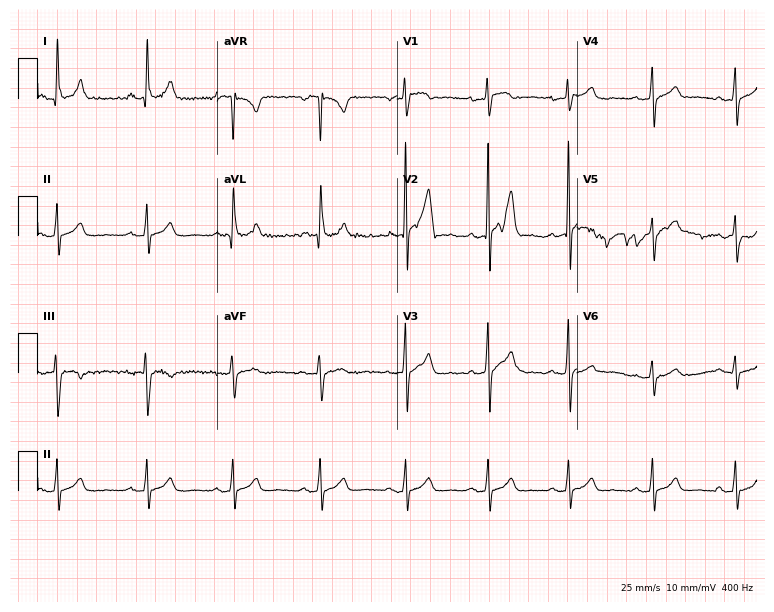
12-lead ECG from a 50-year-old man (7.3-second recording at 400 Hz). No first-degree AV block, right bundle branch block (RBBB), left bundle branch block (LBBB), sinus bradycardia, atrial fibrillation (AF) or sinus tachycardia recorded for this tracing.